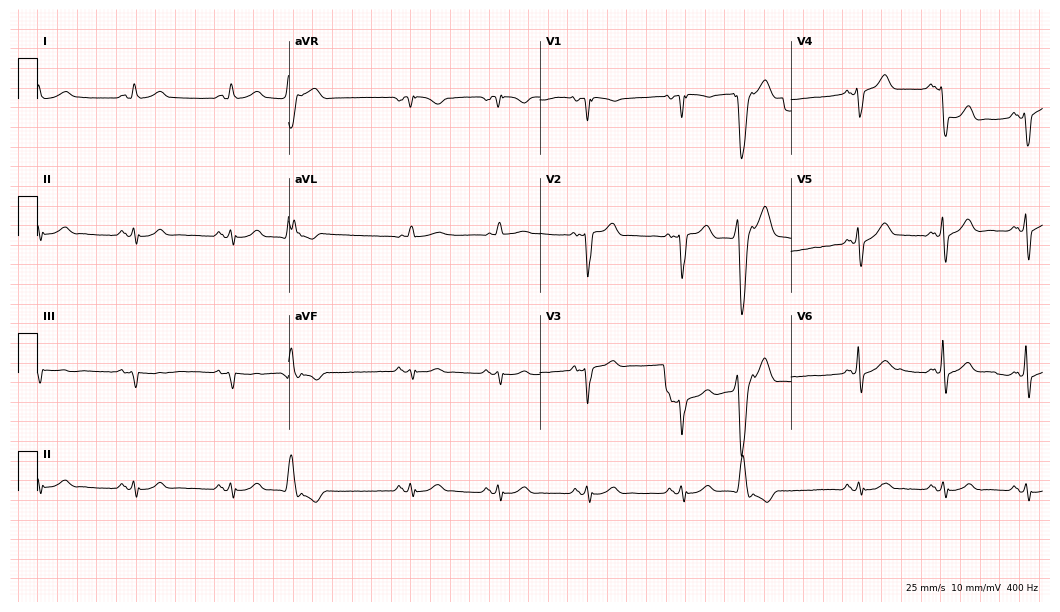
Resting 12-lead electrocardiogram. Patient: a male, 67 years old. Read as a normal ECG.